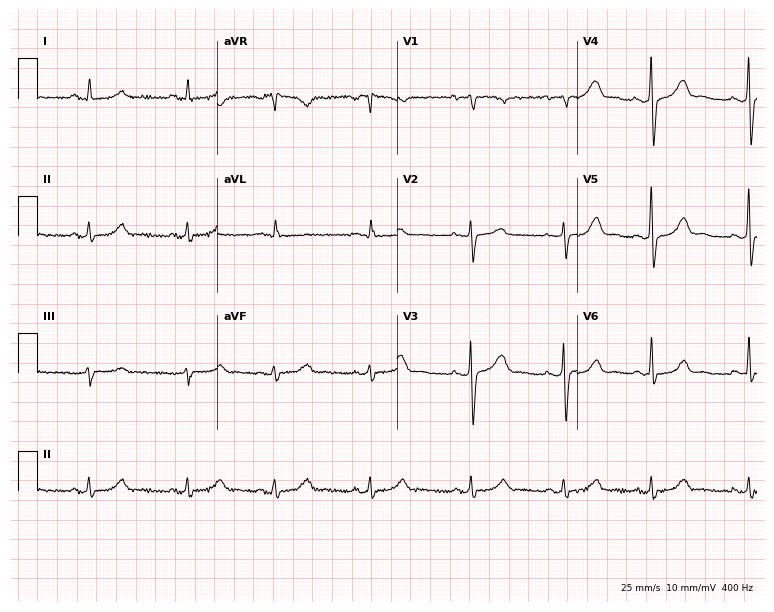
ECG — a female patient, 41 years old. Screened for six findings — first-degree AV block, right bundle branch block (RBBB), left bundle branch block (LBBB), sinus bradycardia, atrial fibrillation (AF), sinus tachycardia — none is recorded. Other findings, if any, are not listed.